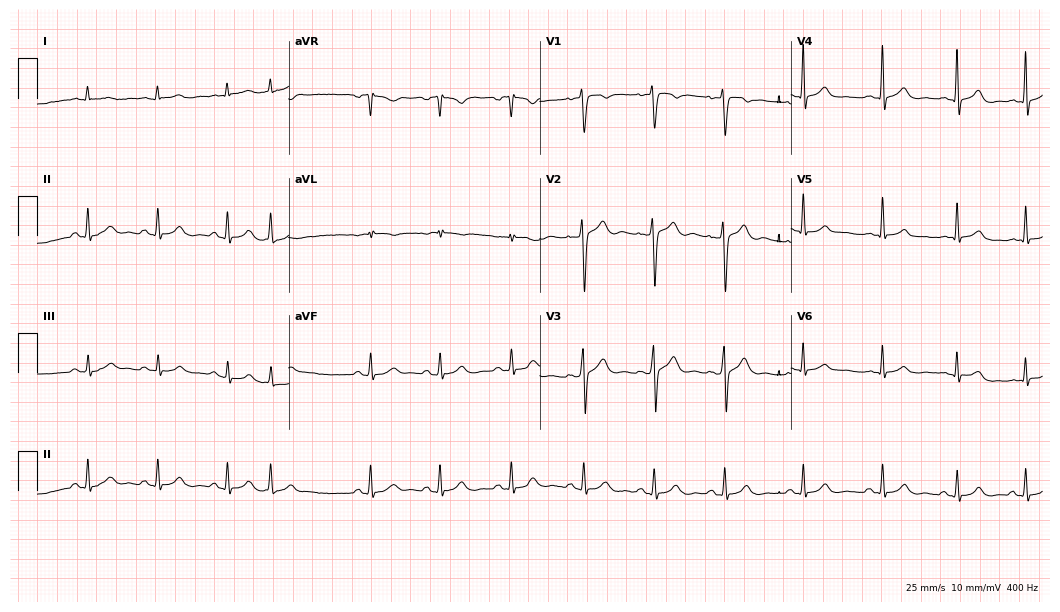
12-lead ECG from a male, 25 years old. Screened for six findings — first-degree AV block, right bundle branch block, left bundle branch block, sinus bradycardia, atrial fibrillation, sinus tachycardia — none is recorded.